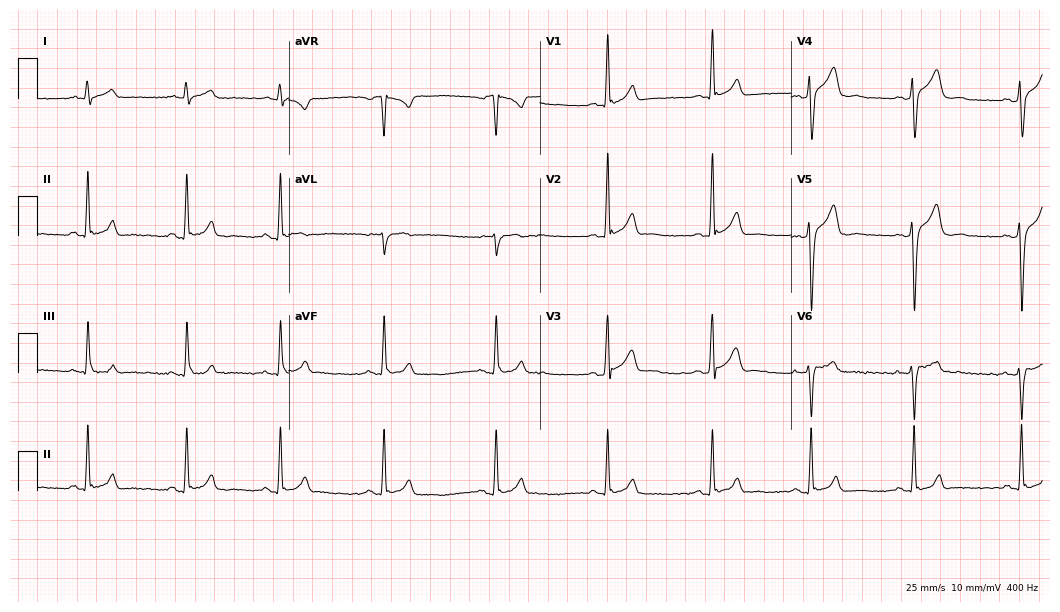
Resting 12-lead electrocardiogram. Patient: a 28-year-old male. None of these six findings is recorded: first-degree AV block, right bundle branch block, left bundle branch block, sinus bradycardia, atrial fibrillation, sinus tachycardia.